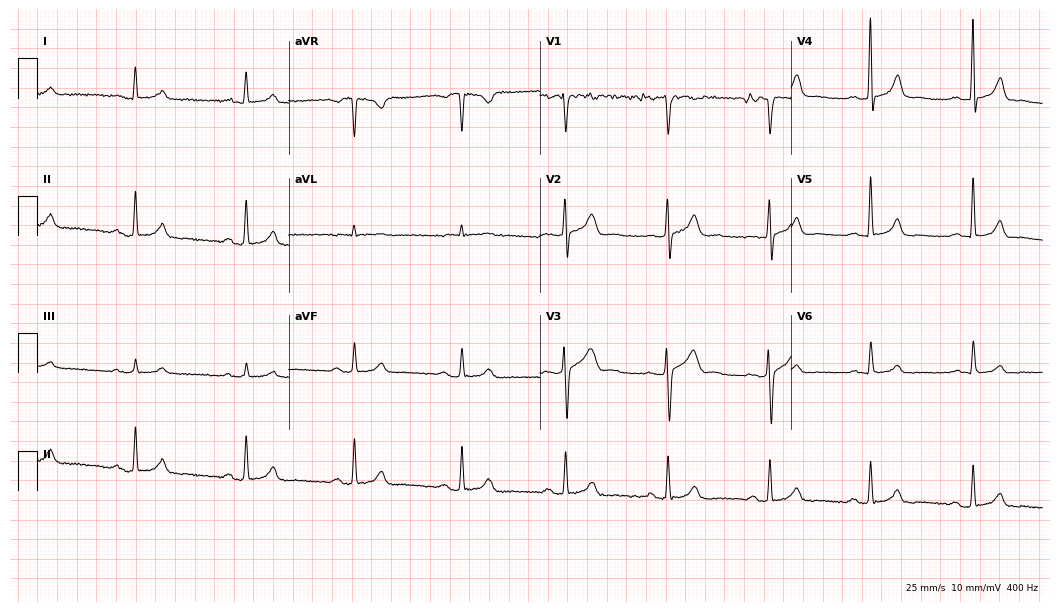
12-lead ECG from a 61-year-old male patient. Labelled as a normal ECG.